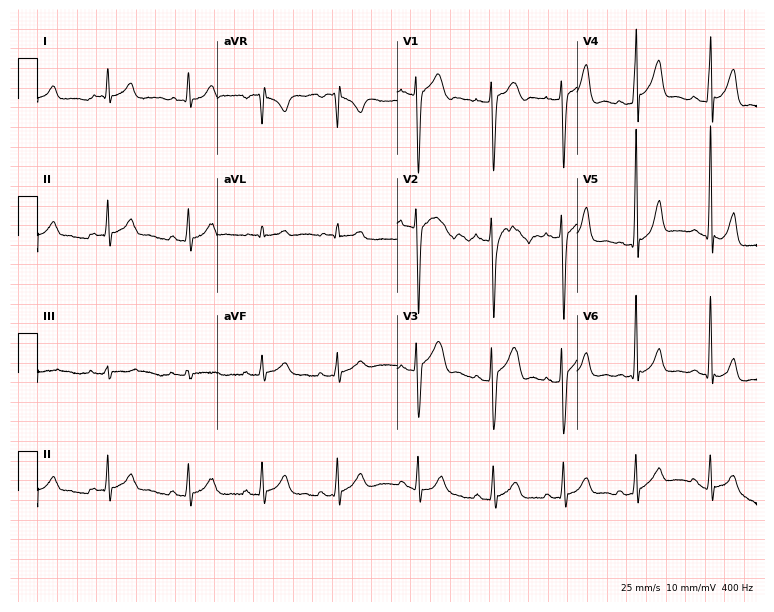
Standard 12-lead ECG recorded from an 18-year-old man. Read as a normal ECG.